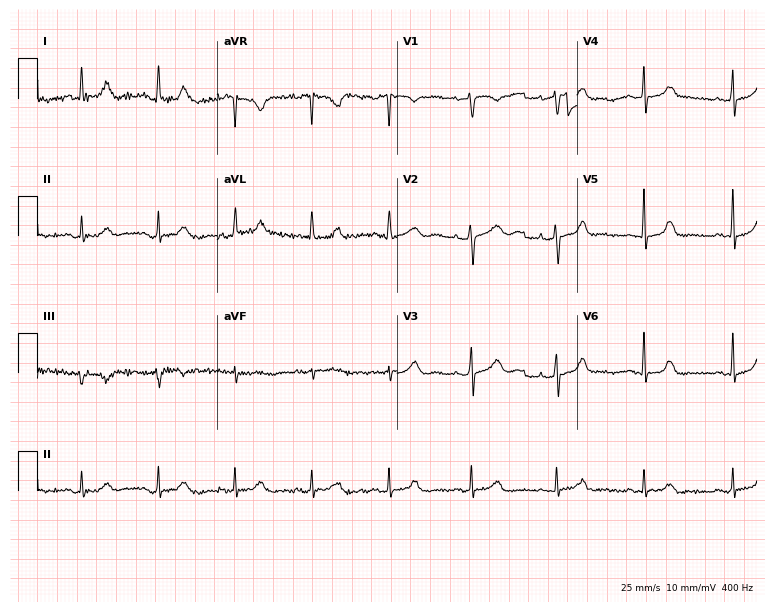
12-lead ECG (7.3-second recording at 400 Hz) from a female, 52 years old. Screened for six findings — first-degree AV block, right bundle branch block (RBBB), left bundle branch block (LBBB), sinus bradycardia, atrial fibrillation (AF), sinus tachycardia — none is recorded.